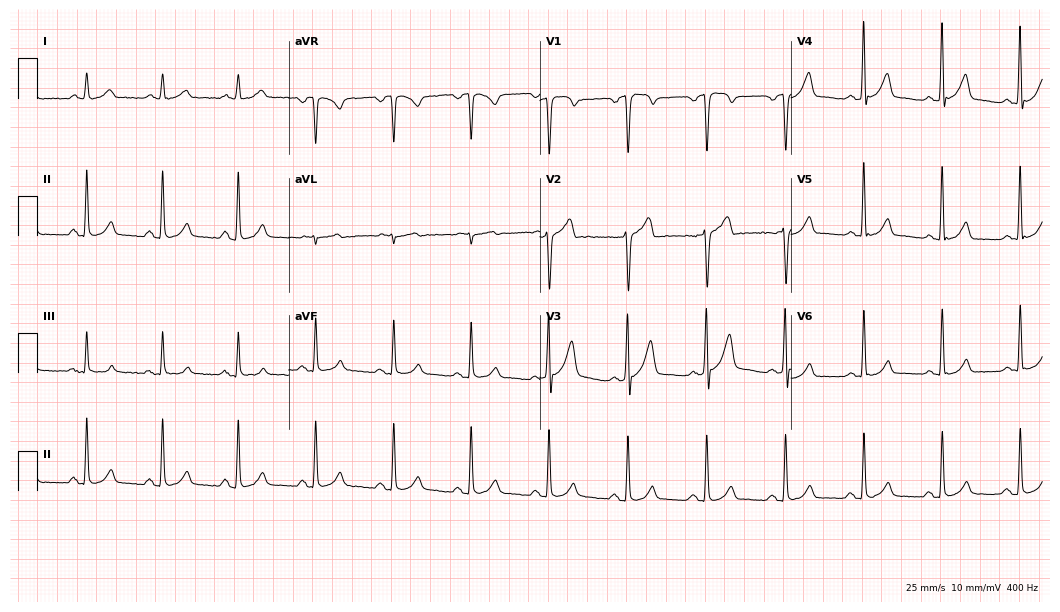
Resting 12-lead electrocardiogram. Patient: a male, 46 years old. Read as a normal ECG.